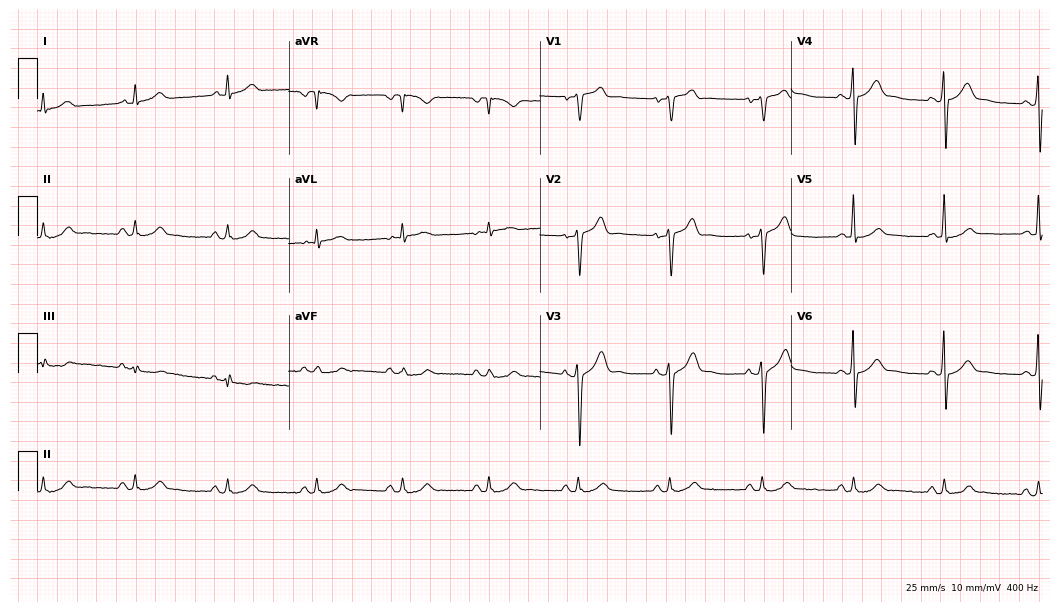
Electrocardiogram (10.2-second recording at 400 Hz), a 49-year-old man. Overall reading on record: normal ECG.